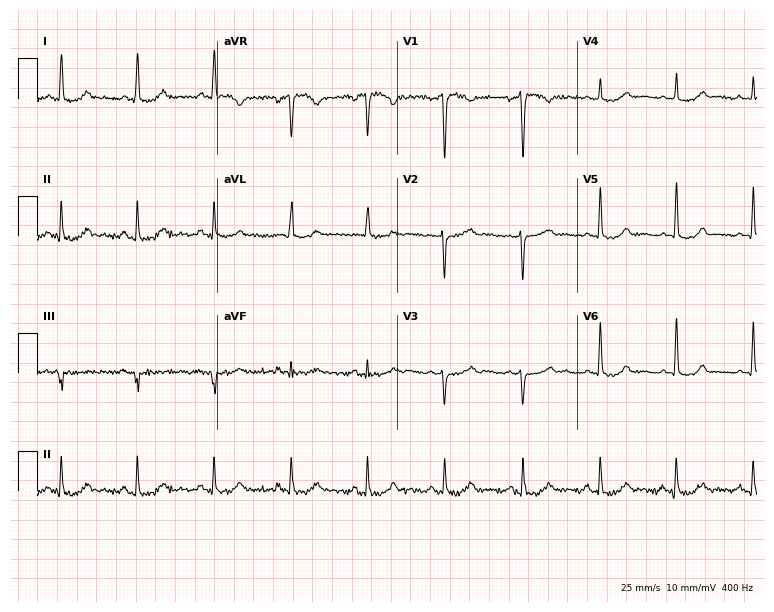
12-lead ECG (7.3-second recording at 400 Hz) from a 64-year-old female. Screened for six findings — first-degree AV block, right bundle branch block, left bundle branch block, sinus bradycardia, atrial fibrillation, sinus tachycardia — none is recorded.